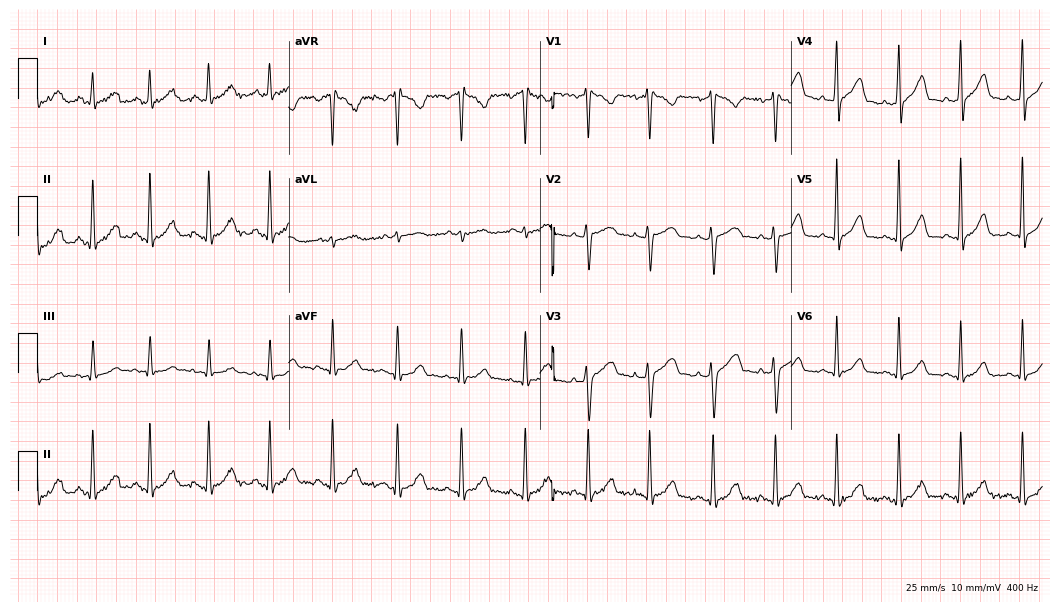
ECG (10.2-second recording at 400 Hz) — a female, 35 years old. Labelled as a normal ECG.